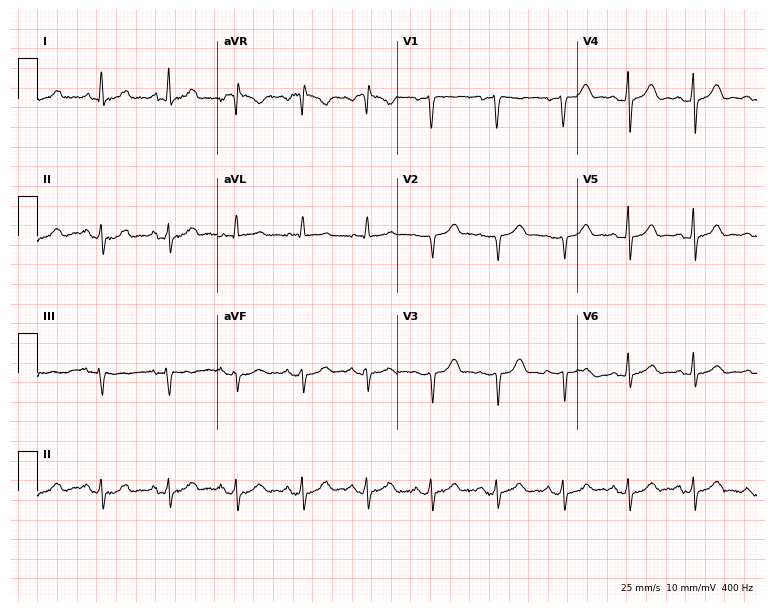
Resting 12-lead electrocardiogram. Patient: a 43-year-old female. Read as a normal ECG.